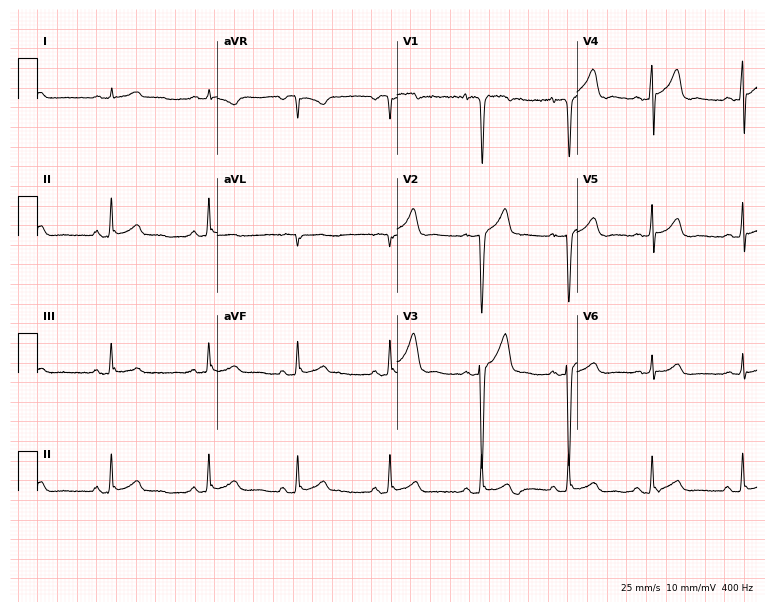
Standard 12-lead ECG recorded from a 29-year-old male (7.3-second recording at 400 Hz). Read as a normal ECG.